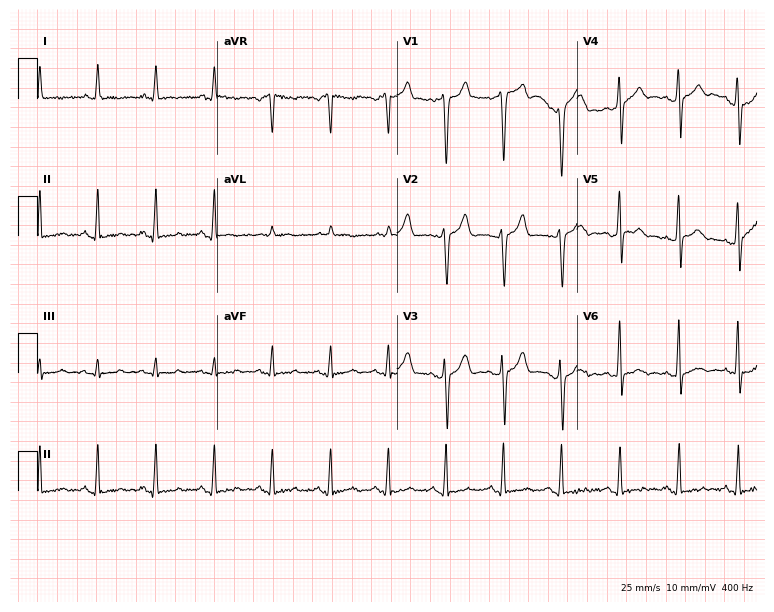
12-lead ECG from a 38-year-old male patient. Screened for six findings — first-degree AV block, right bundle branch block (RBBB), left bundle branch block (LBBB), sinus bradycardia, atrial fibrillation (AF), sinus tachycardia — none is recorded.